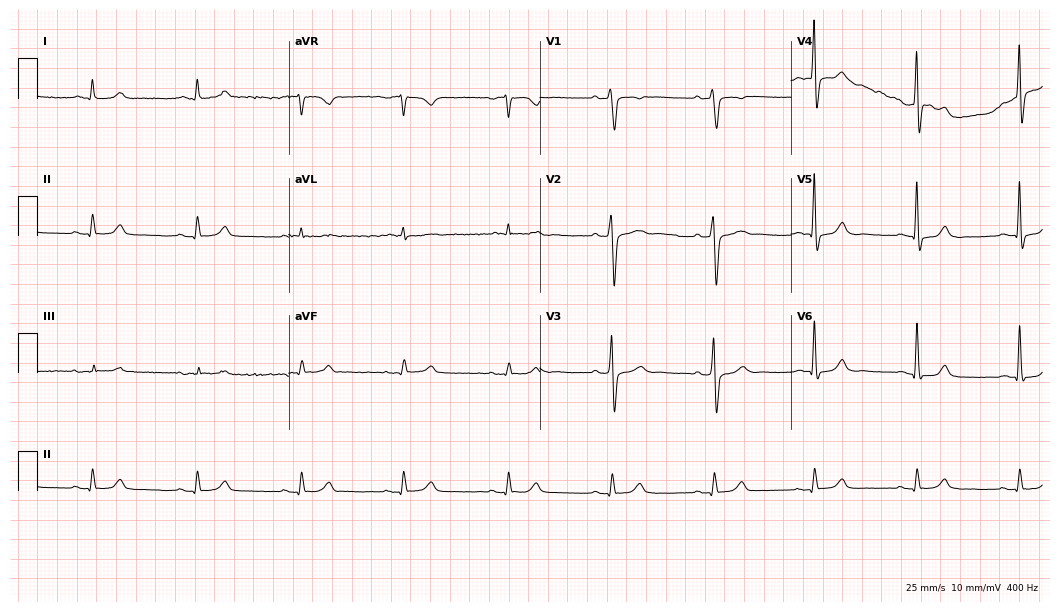
12-lead ECG (10.2-second recording at 400 Hz) from a 67-year-old male. Screened for six findings — first-degree AV block, right bundle branch block (RBBB), left bundle branch block (LBBB), sinus bradycardia, atrial fibrillation (AF), sinus tachycardia — none is recorded.